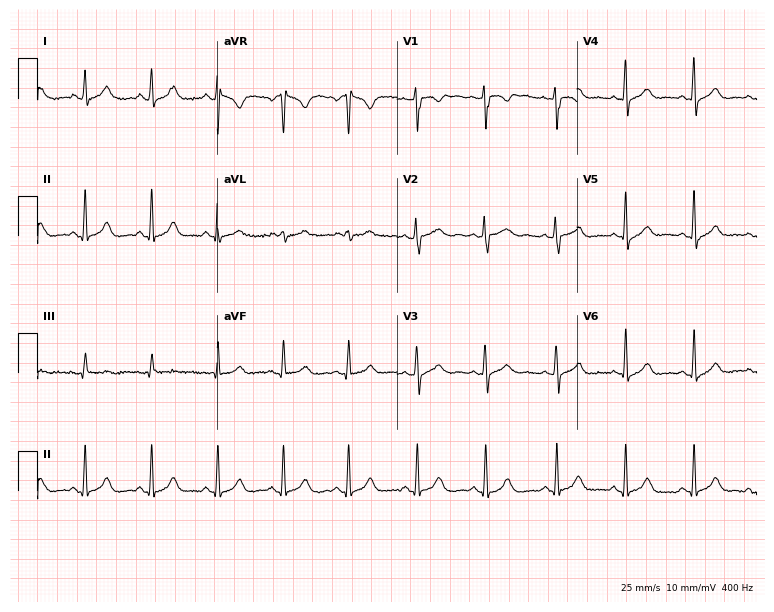
Electrocardiogram, a 25-year-old female patient. Overall reading on record: normal ECG.